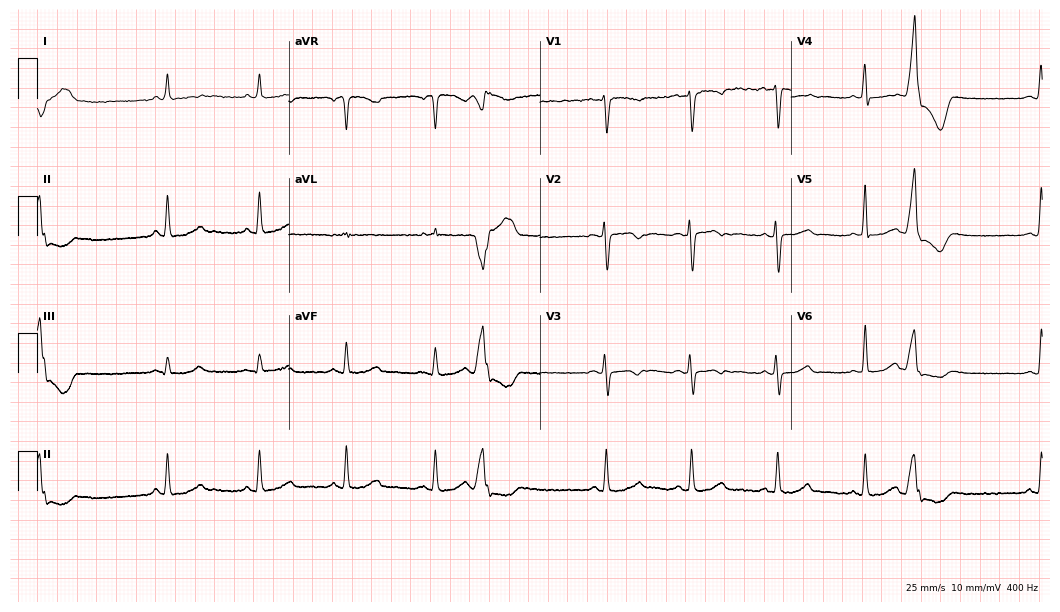
Standard 12-lead ECG recorded from a 56-year-old woman (10.2-second recording at 400 Hz). None of these six findings is recorded: first-degree AV block, right bundle branch block, left bundle branch block, sinus bradycardia, atrial fibrillation, sinus tachycardia. Only these six findings were labelled.